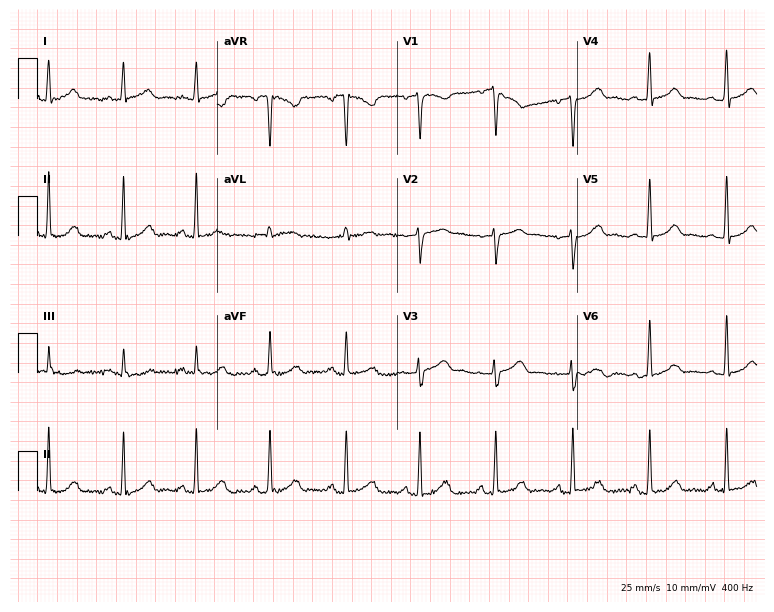
ECG (7.3-second recording at 400 Hz) — a 40-year-old female patient. Labelled as a normal ECG.